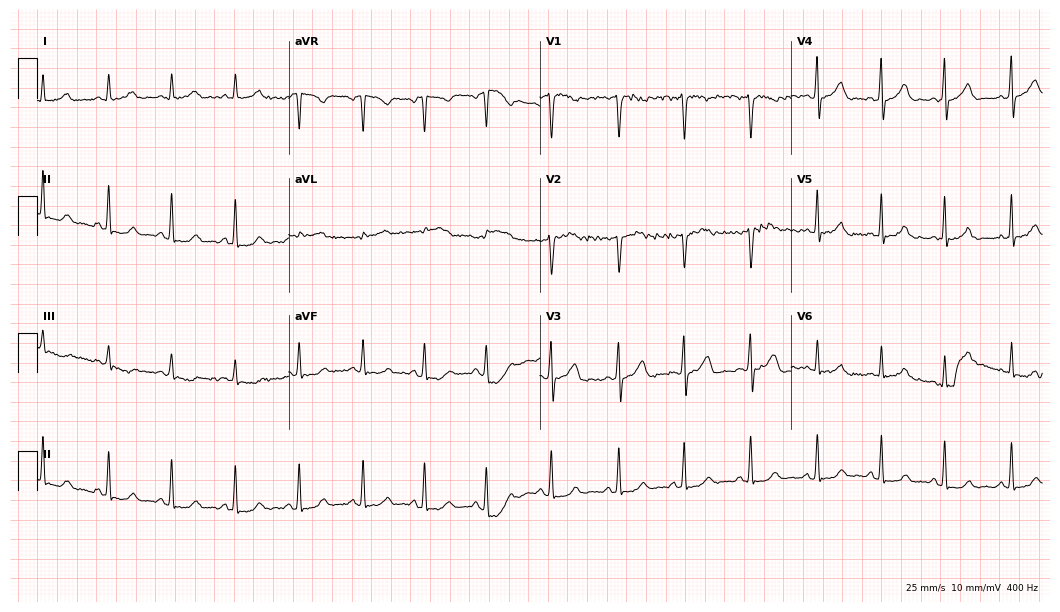
ECG — a 37-year-old female patient. Labelled as a normal ECG.